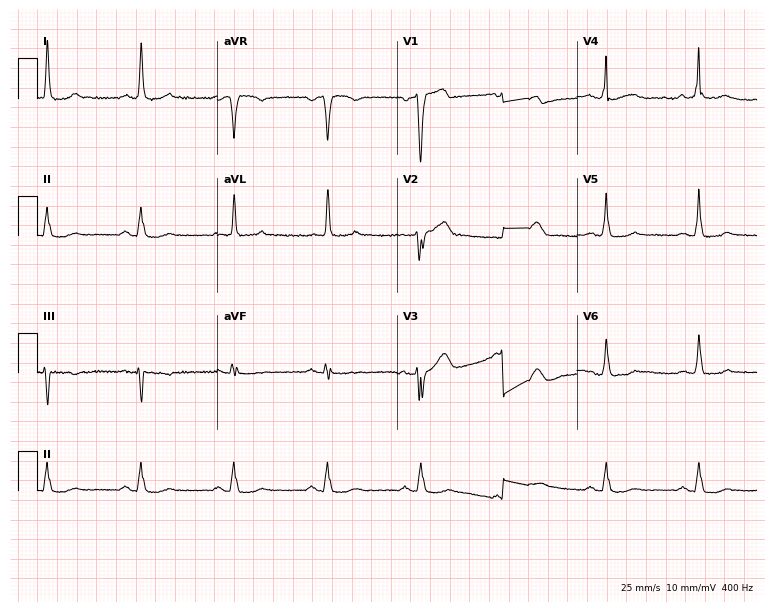
Standard 12-lead ECG recorded from a man, 56 years old (7.3-second recording at 400 Hz). None of these six findings is recorded: first-degree AV block, right bundle branch block (RBBB), left bundle branch block (LBBB), sinus bradycardia, atrial fibrillation (AF), sinus tachycardia. Only these six findings were labelled.